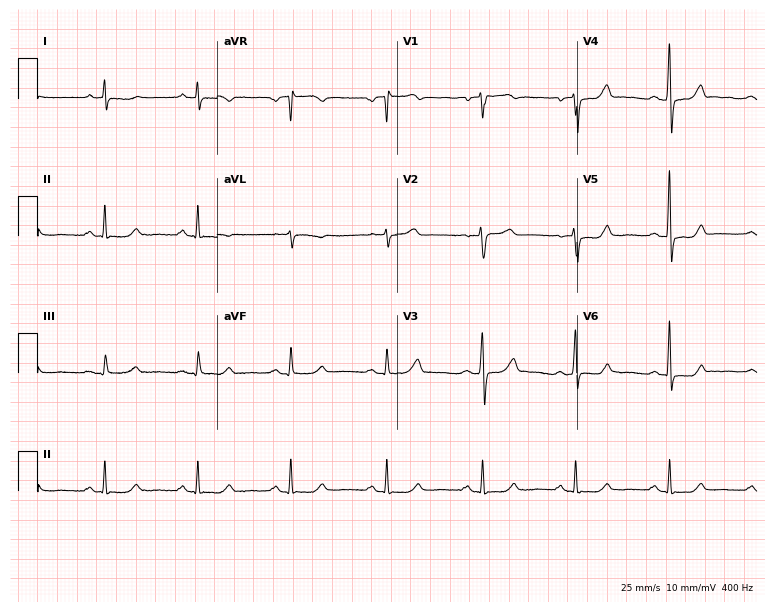
Electrocardiogram, a woman, 53 years old. Of the six screened findings (first-degree AV block, right bundle branch block (RBBB), left bundle branch block (LBBB), sinus bradycardia, atrial fibrillation (AF), sinus tachycardia), none is recorded.